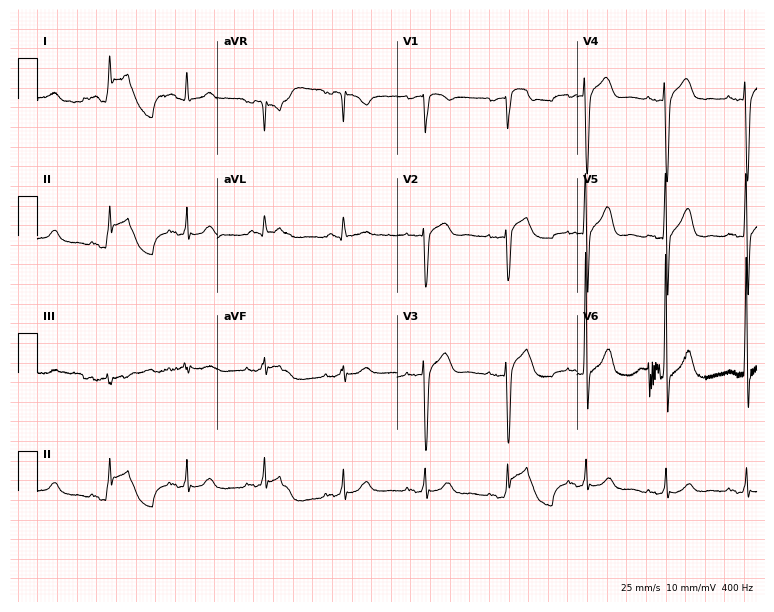
ECG — a 67-year-old male patient. Screened for six findings — first-degree AV block, right bundle branch block (RBBB), left bundle branch block (LBBB), sinus bradycardia, atrial fibrillation (AF), sinus tachycardia — none is recorded. Only these six findings were labelled.